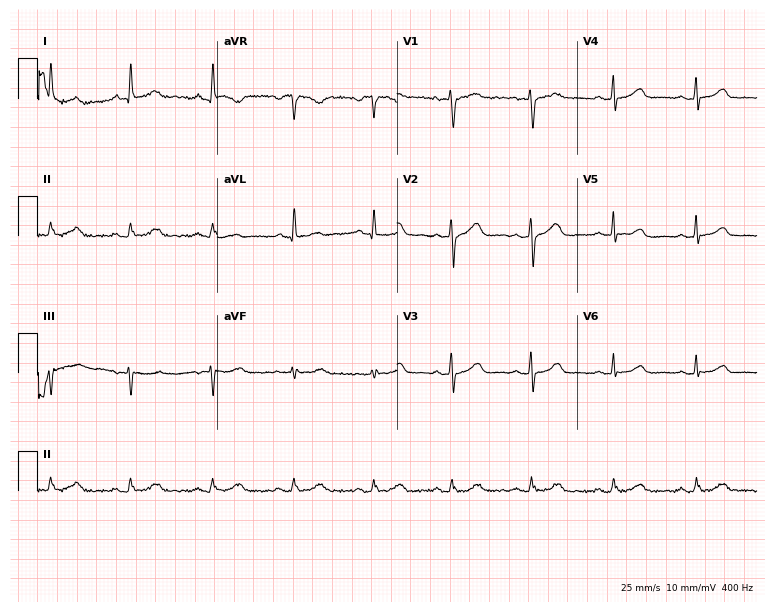
Resting 12-lead electrocardiogram. Patient: a woman, 53 years old. Read as a normal ECG.